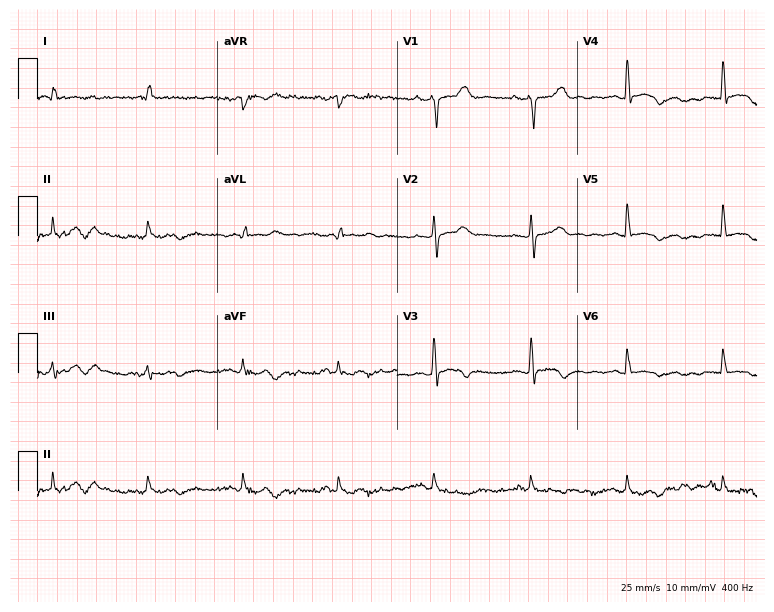
ECG (7.3-second recording at 400 Hz) — a female, 76 years old. Screened for six findings — first-degree AV block, right bundle branch block, left bundle branch block, sinus bradycardia, atrial fibrillation, sinus tachycardia — none is recorded. Findings outside these six are not listed.